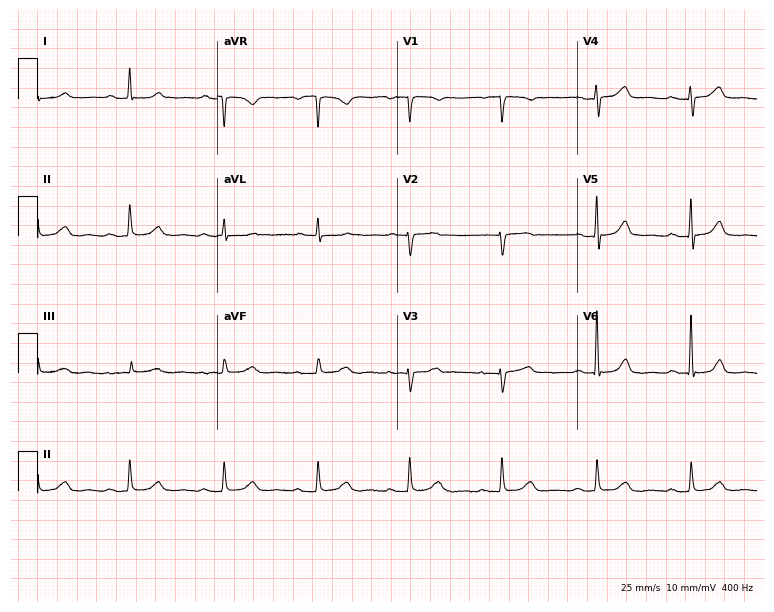
Standard 12-lead ECG recorded from an 81-year-old woman (7.3-second recording at 400 Hz). None of these six findings is recorded: first-degree AV block, right bundle branch block, left bundle branch block, sinus bradycardia, atrial fibrillation, sinus tachycardia.